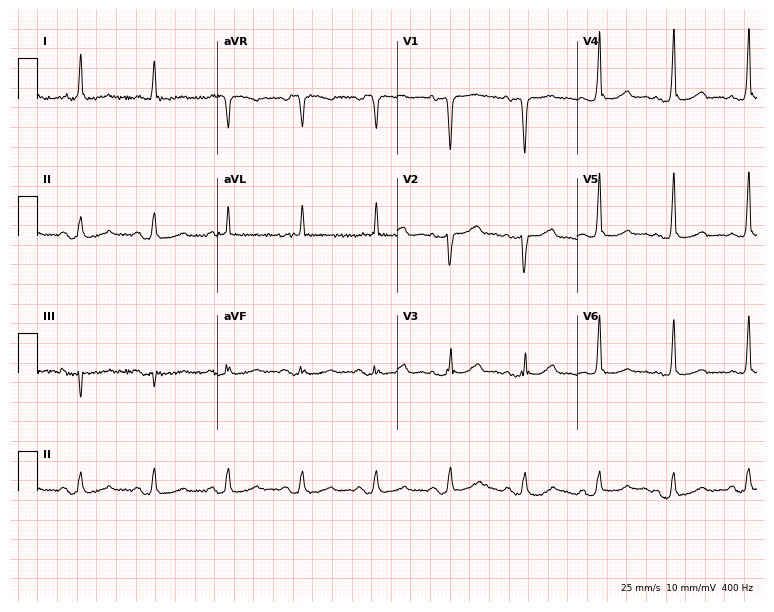
Resting 12-lead electrocardiogram (7.3-second recording at 400 Hz). Patient: a female, 60 years old. None of these six findings is recorded: first-degree AV block, right bundle branch block (RBBB), left bundle branch block (LBBB), sinus bradycardia, atrial fibrillation (AF), sinus tachycardia. Other findings, if any, are not listed.